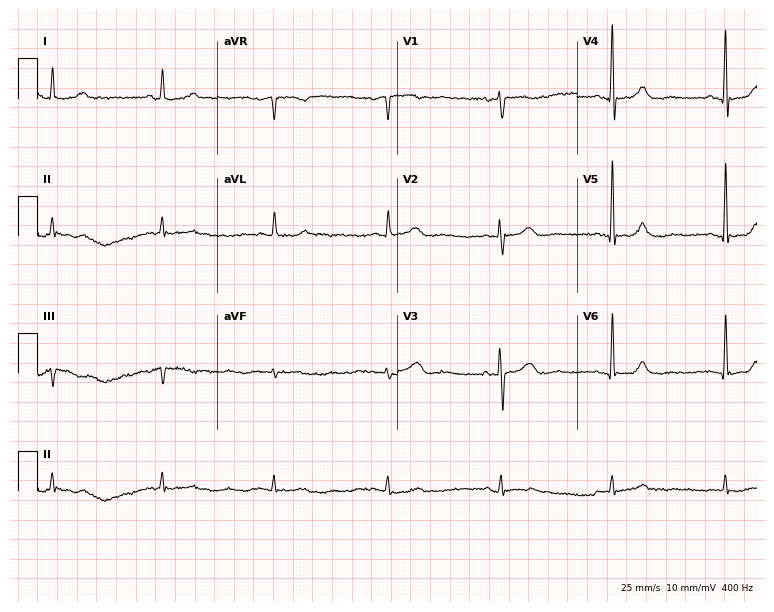
12-lead ECG from a female patient, 64 years old (7.3-second recording at 400 Hz). Recorded interpretation: within normal limits.